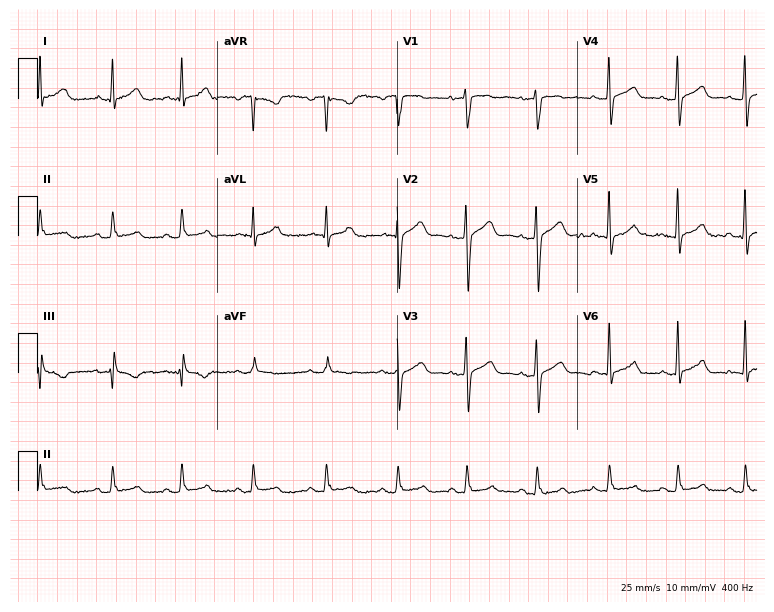
12-lead ECG from a male, 34 years old. No first-degree AV block, right bundle branch block (RBBB), left bundle branch block (LBBB), sinus bradycardia, atrial fibrillation (AF) or sinus tachycardia recorded for this tracing. Other findings, if any, are not listed.